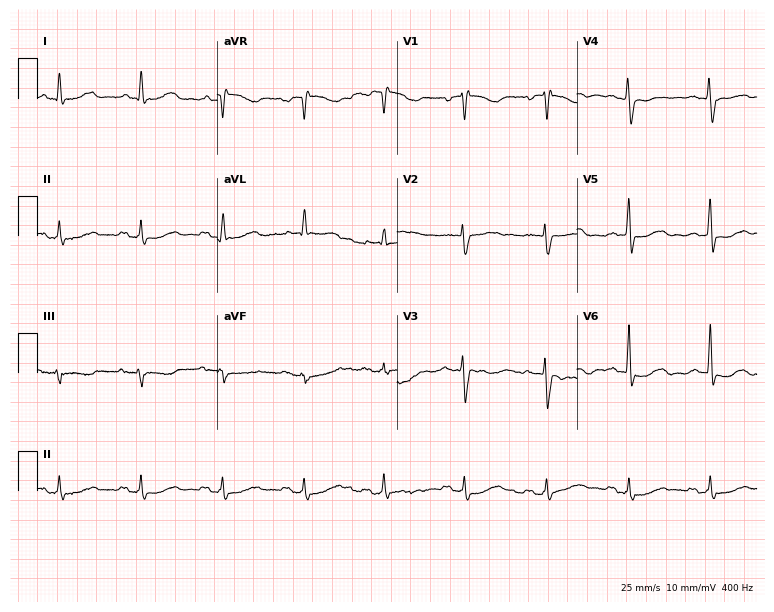
Standard 12-lead ECG recorded from a female patient, 70 years old. None of these six findings is recorded: first-degree AV block, right bundle branch block, left bundle branch block, sinus bradycardia, atrial fibrillation, sinus tachycardia.